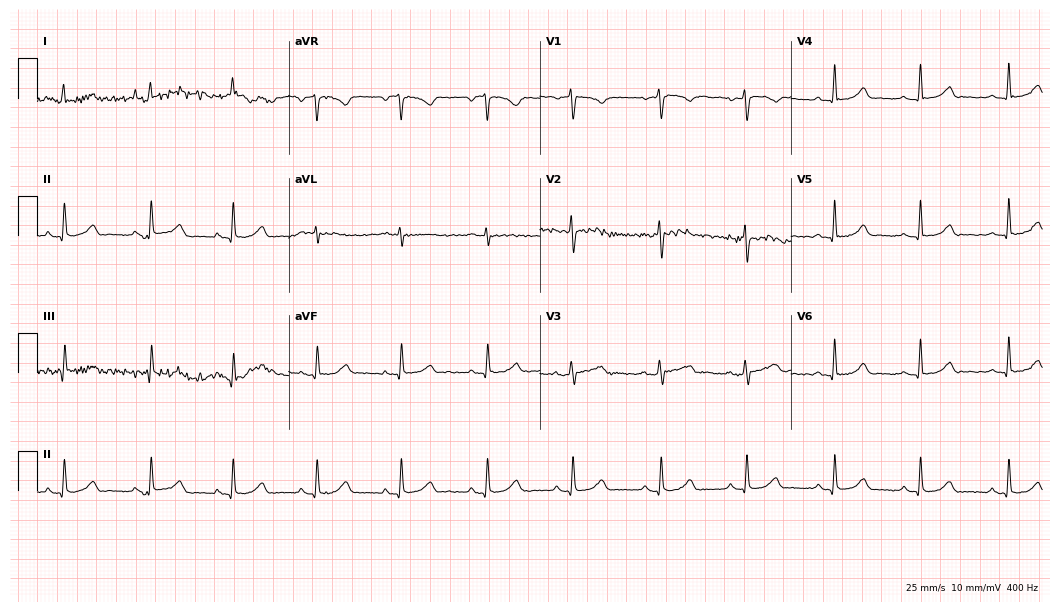
Standard 12-lead ECG recorded from a 37-year-old female patient (10.2-second recording at 400 Hz). Read as a normal ECG.